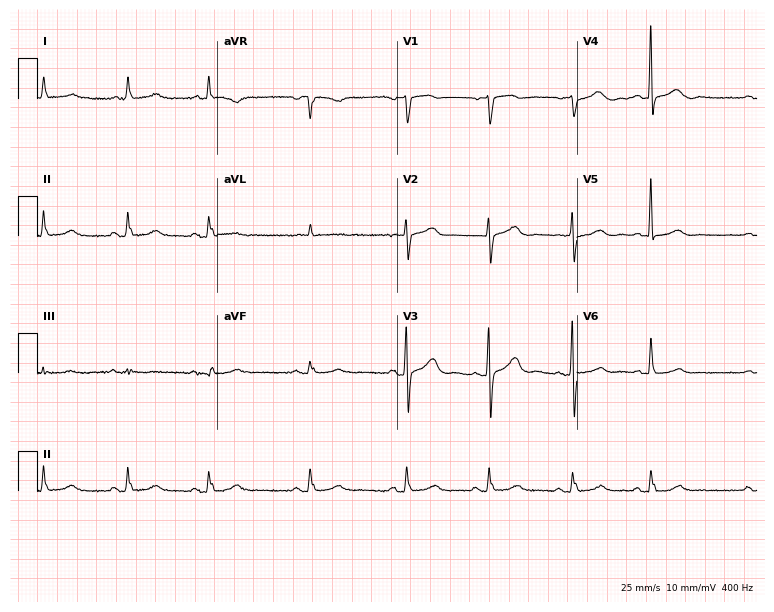
Resting 12-lead electrocardiogram. Patient: a 76-year-old female. Read as a normal ECG.